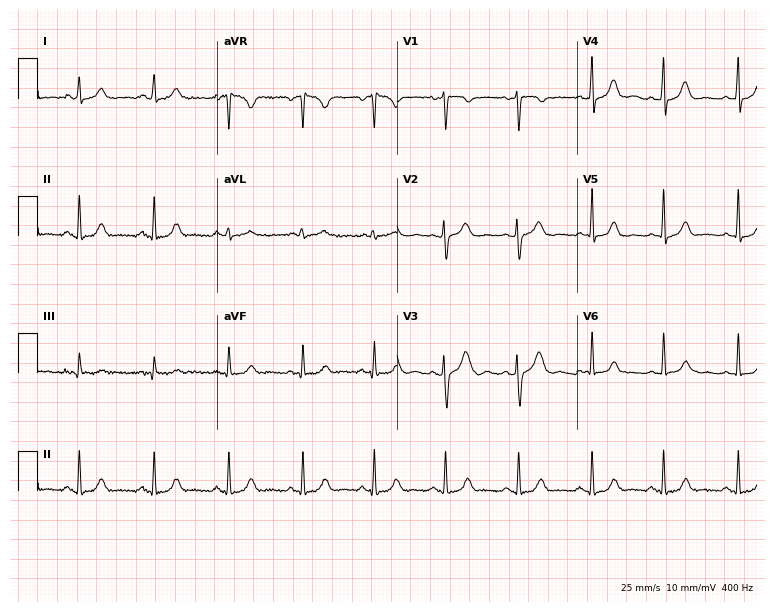
Electrocardiogram (7.3-second recording at 400 Hz), a 26-year-old woman. Overall reading on record: normal ECG.